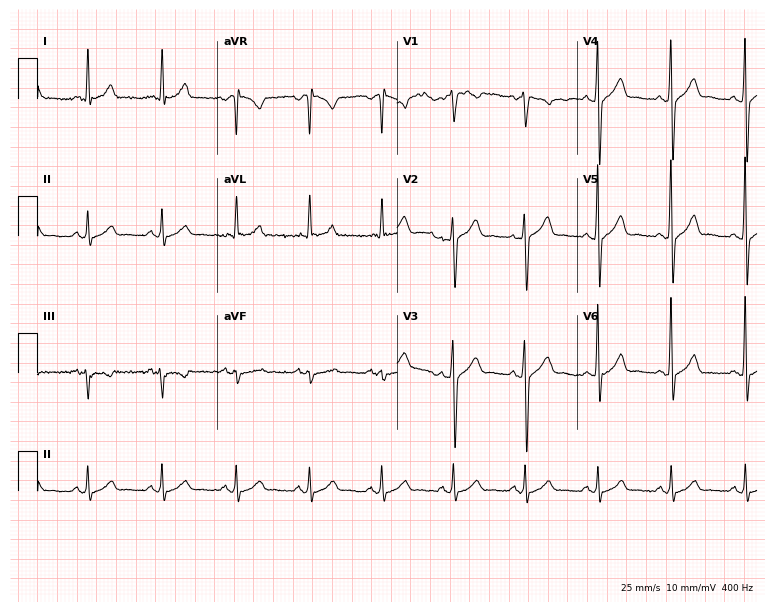
12-lead ECG from a 49-year-old man (7.3-second recording at 400 Hz). Recorded interpretation: within normal limits.